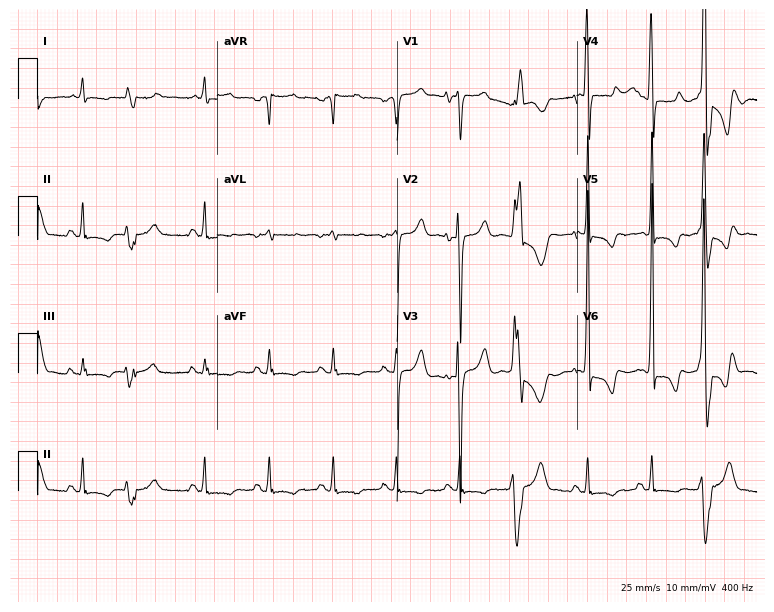
ECG (7.3-second recording at 400 Hz) — a man, 58 years old. Screened for six findings — first-degree AV block, right bundle branch block (RBBB), left bundle branch block (LBBB), sinus bradycardia, atrial fibrillation (AF), sinus tachycardia — none is recorded.